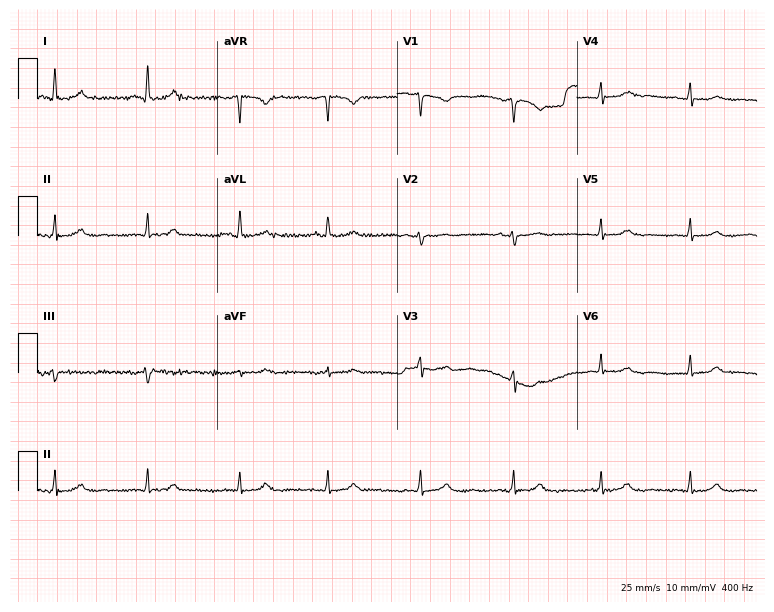
Electrocardiogram (7.3-second recording at 400 Hz), a 56-year-old female. Overall reading on record: normal ECG.